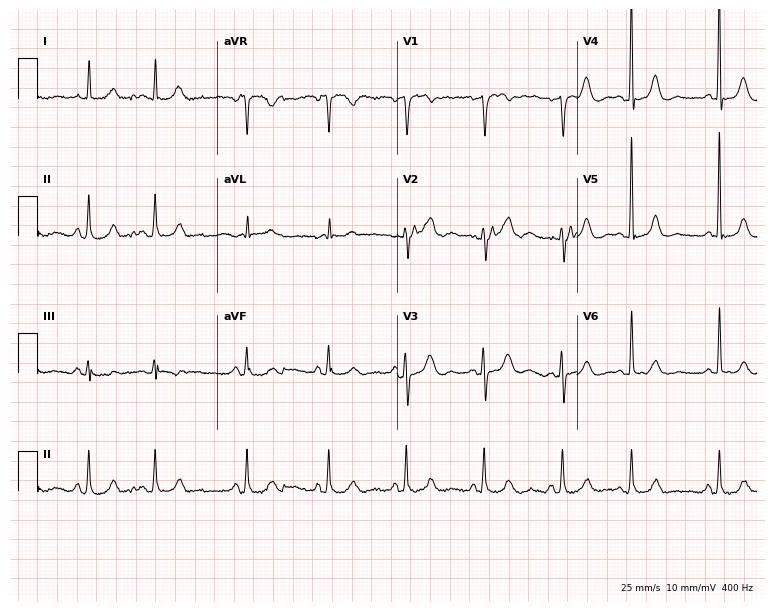
ECG (7.3-second recording at 400 Hz) — a 72-year-old female patient. Screened for six findings — first-degree AV block, right bundle branch block, left bundle branch block, sinus bradycardia, atrial fibrillation, sinus tachycardia — none is recorded. Findings outside these six are not listed.